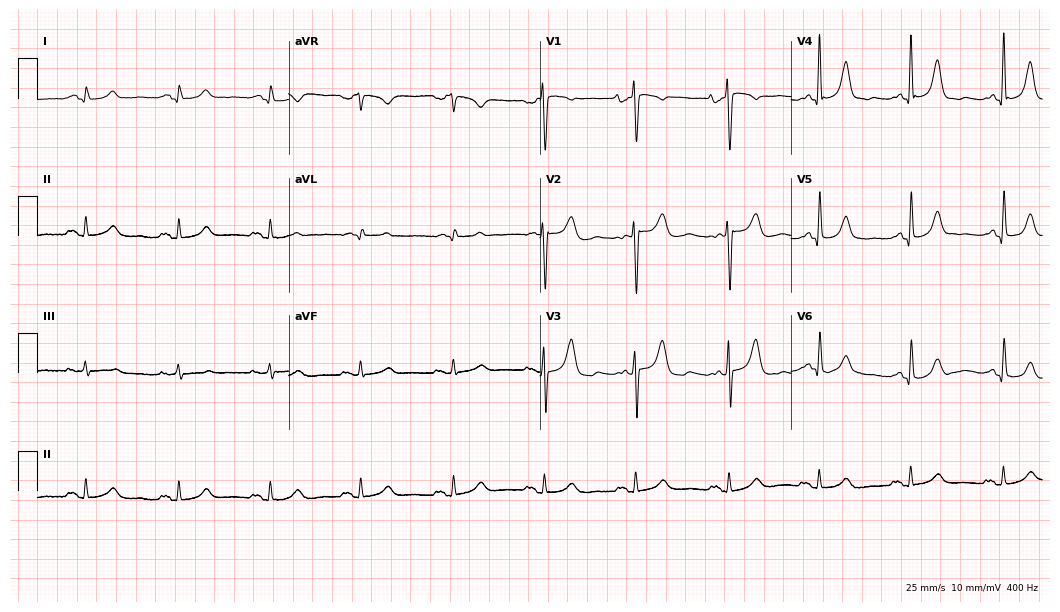
Electrocardiogram, a 56-year-old female. Overall reading on record: normal ECG.